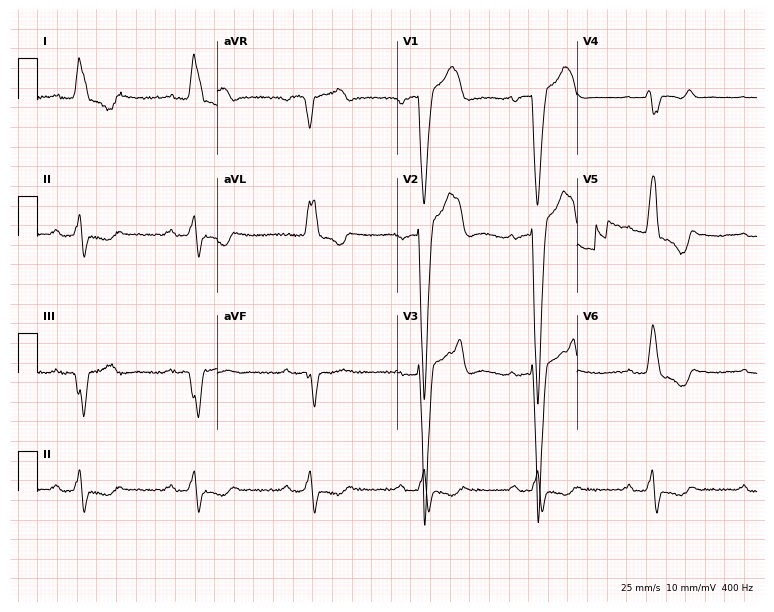
Standard 12-lead ECG recorded from a 64-year-old female (7.3-second recording at 400 Hz). The tracing shows first-degree AV block, left bundle branch block.